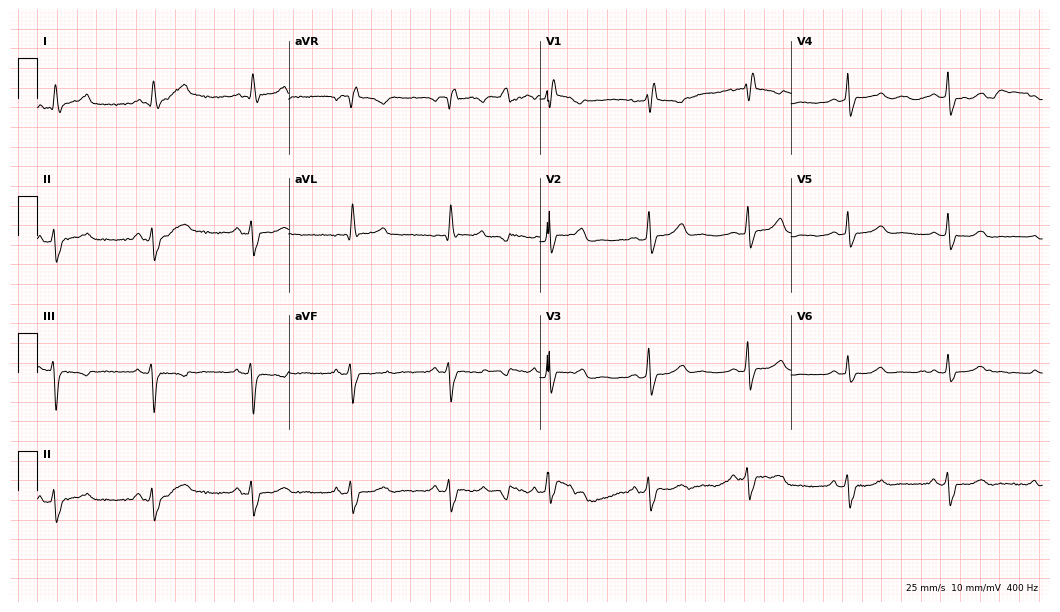
Electrocardiogram (10.2-second recording at 400 Hz), a 46-year-old female. Interpretation includes right bundle branch block.